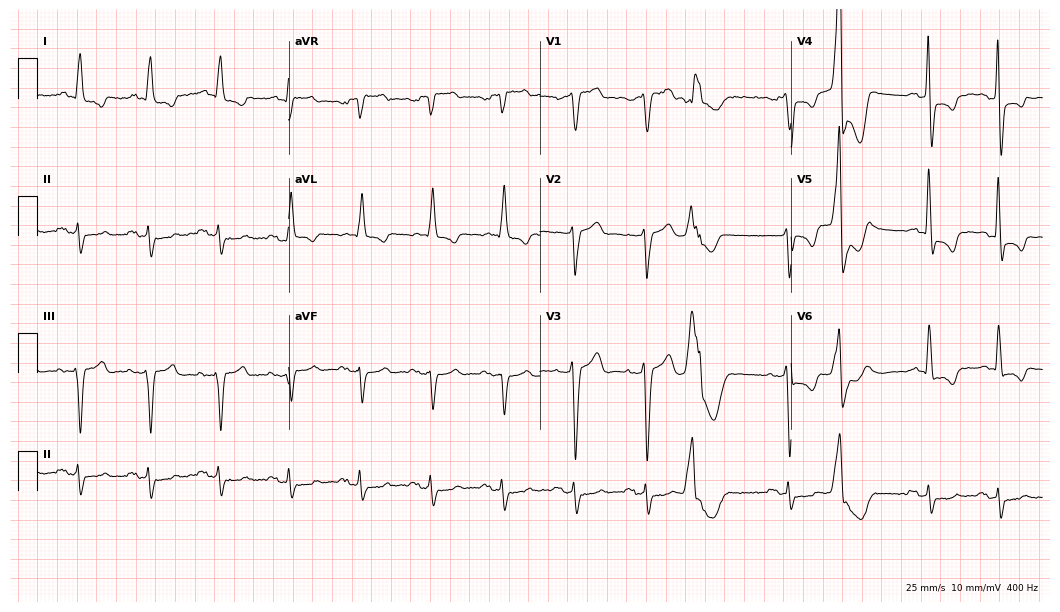
Resting 12-lead electrocardiogram (10.2-second recording at 400 Hz). Patient: a man, 71 years old. None of these six findings is recorded: first-degree AV block, right bundle branch block, left bundle branch block, sinus bradycardia, atrial fibrillation, sinus tachycardia. Other findings, if any, are not listed.